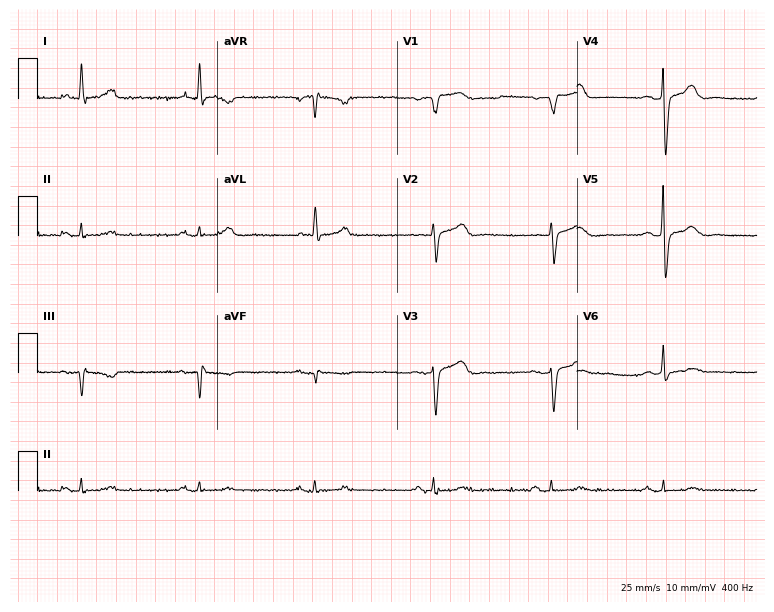
ECG — a man, 68 years old. Screened for six findings — first-degree AV block, right bundle branch block (RBBB), left bundle branch block (LBBB), sinus bradycardia, atrial fibrillation (AF), sinus tachycardia — none is recorded. Findings outside these six are not listed.